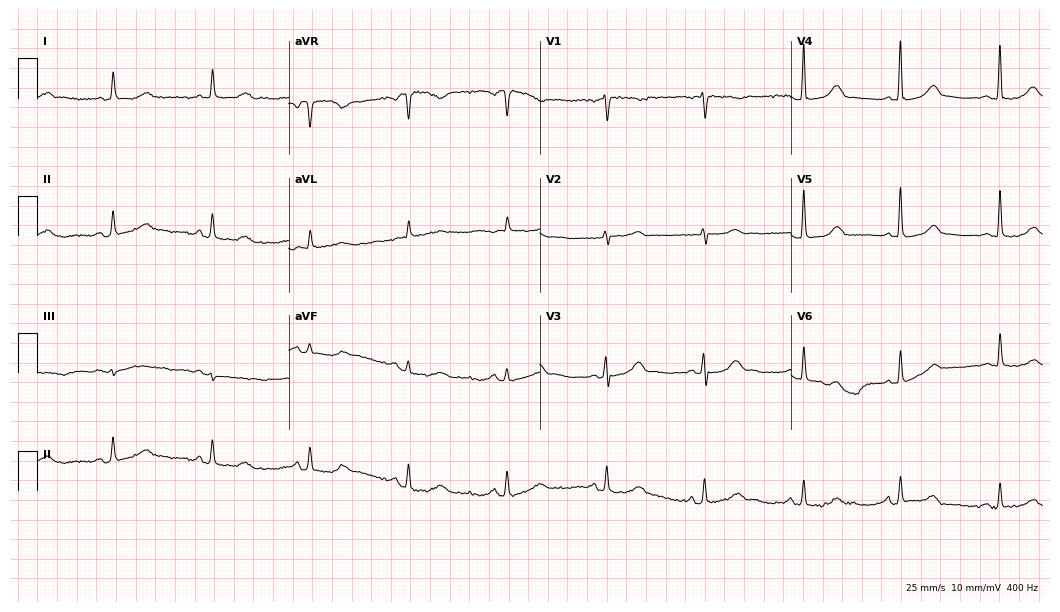
12-lead ECG from an 84-year-old female. Labelled as a normal ECG.